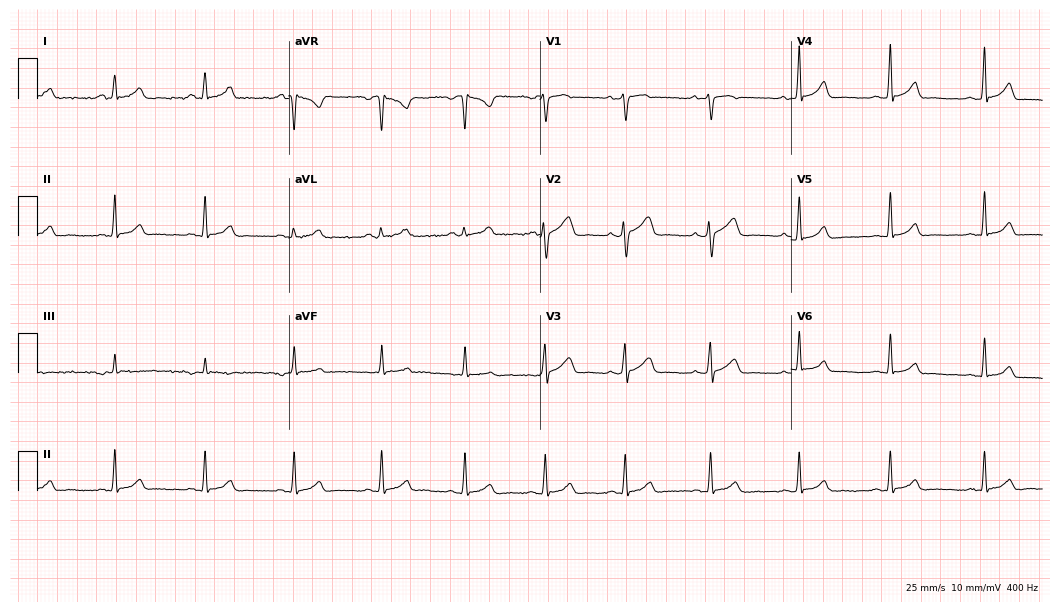
ECG (10.2-second recording at 400 Hz) — a woman, 43 years old. Screened for six findings — first-degree AV block, right bundle branch block, left bundle branch block, sinus bradycardia, atrial fibrillation, sinus tachycardia — none is recorded.